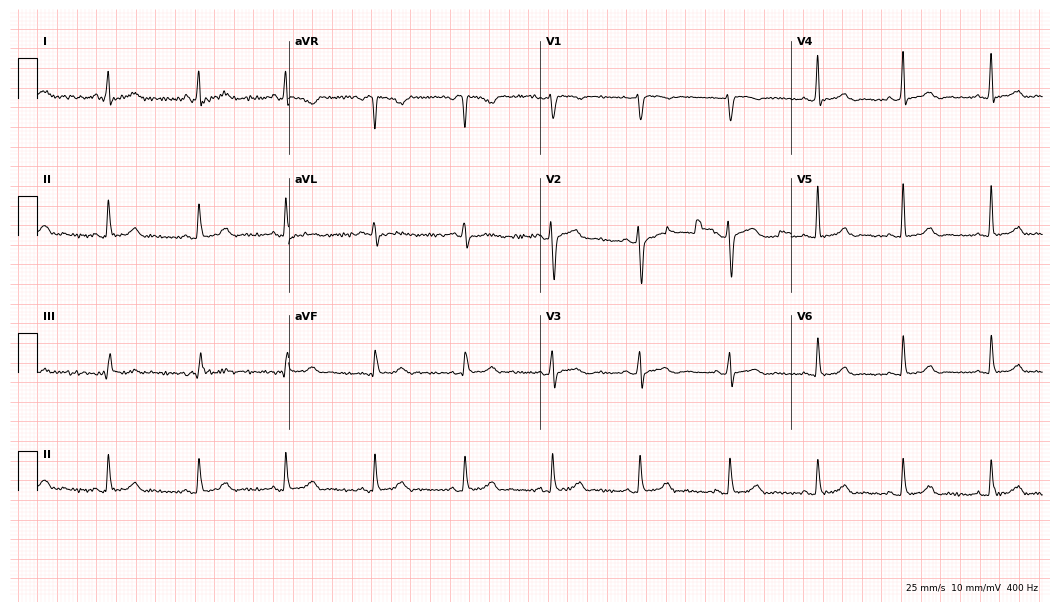
Electrocardiogram (10.2-second recording at 400 Hz), a male, 29 years old. Overall reading on record: normal ECG.